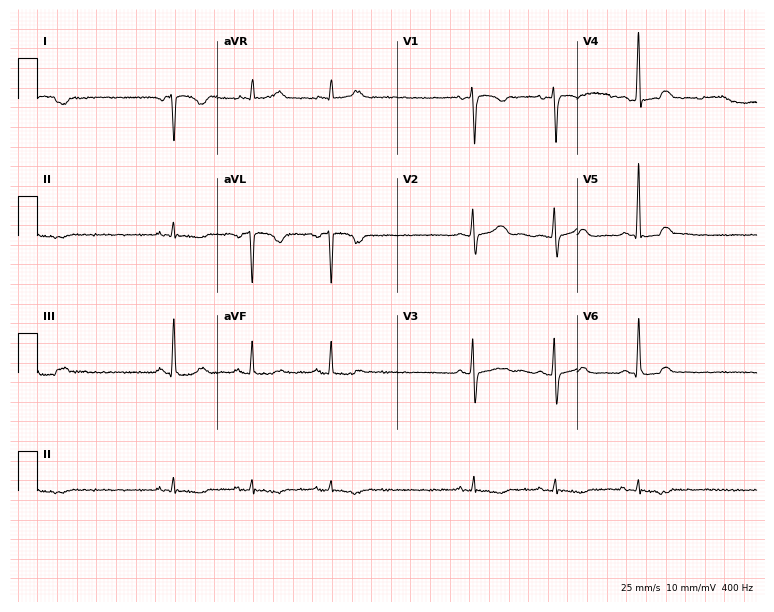
12-lead ECG from a 53-year-old female patient (7.3-second recording at 400 Hz). No first-degree AV block, right bundle branch block (RBBB), left bundle branch block (LBBB), sinus bradycardia, atrial fibrillation (AF) or sinus tachycardia recorded for this tracing. Other findings, if any, are not listed.